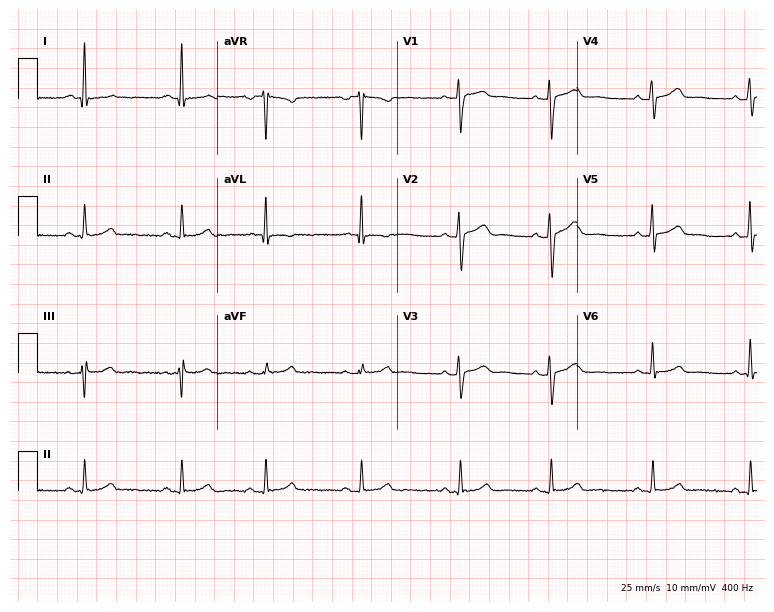
12-lead ECG from a female patient, 37 years old. Recorded interpretation: within normal limits.